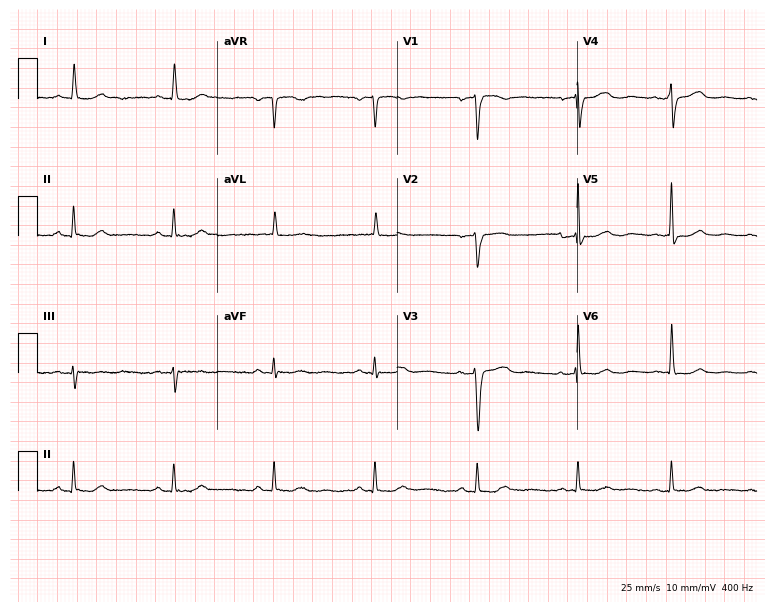
12-lead ECG from an 84-year-old woman (7.3-second recording at 400 Hz). No first-degree AV block, right bundle branch block, left bundle branch block, sinus bradycardia, atrial fibrillation or sinus tachycardia recorded for this tracing. Only these six findings were labelled.